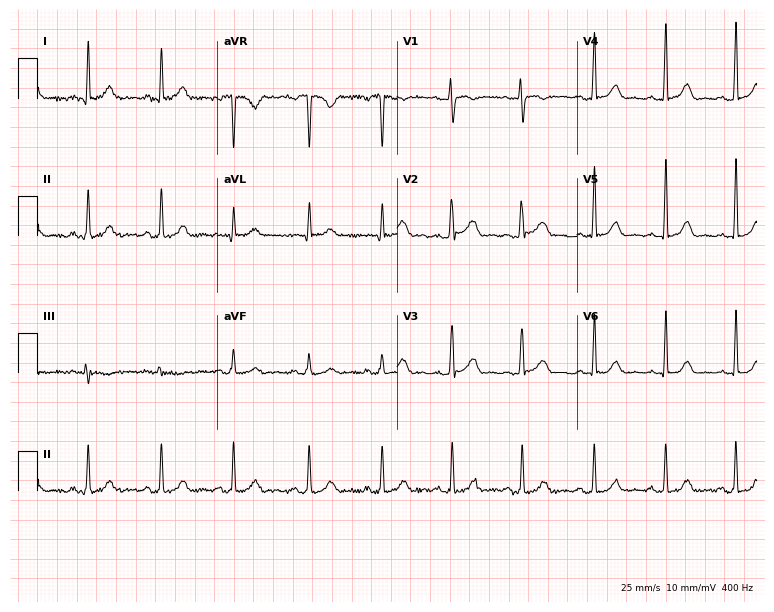
12-lead ECG from a 34-year-old female patient. Screened for six findings — first-degree AV block, right bundle branch block (RBBB), left bundle branch block (LBBB), sinus bradycardia, atrial fibrillation (AF), sinus tachycardia — none is recorded. Findings outside these six are not listed.